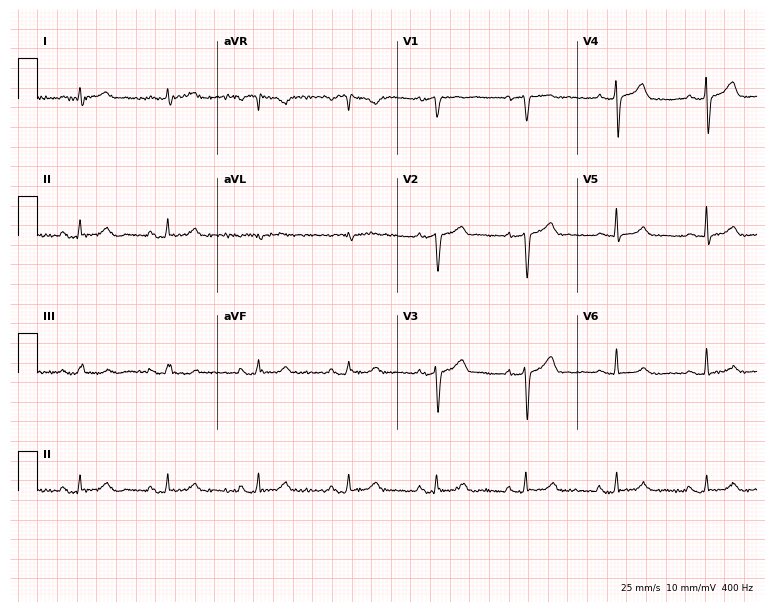
ECG — a male patient, 57 years old. Screened for six findings — first-degree AV block, right bundle branch block, left bundle branch block, sinus bradycardia, atrial fibrillation, sinus tachycardia — none is recorded.